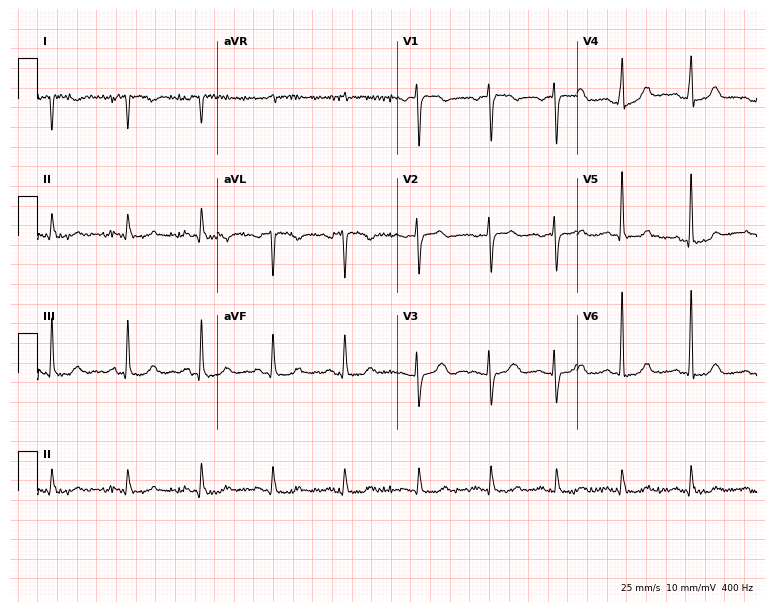
ECG — a female patient, 69 years old. Screened for six findings — first-degree AV block, right bundle branch block, left bundle branch block, sinus bradycardia, atrial fibrillation, sinus tachycardia — none is recorded.